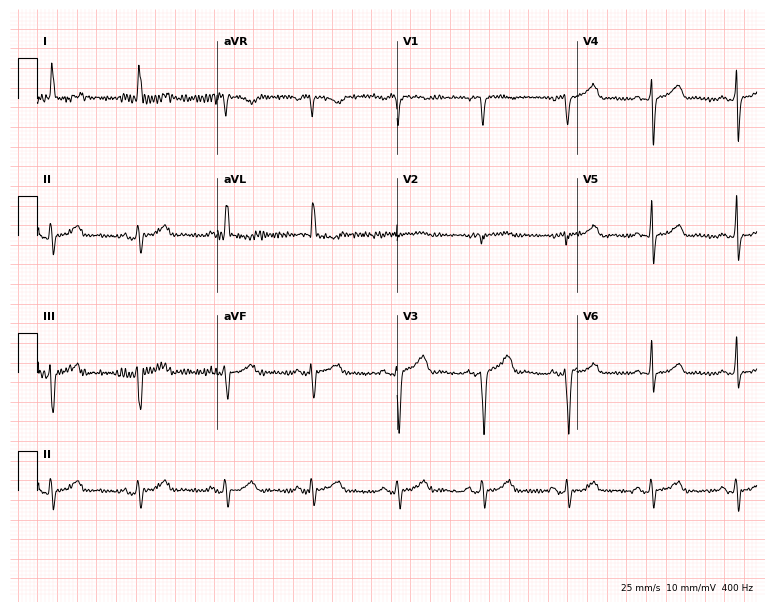
ECG — a woman, 67 years old. Labelled as a normal ECG.